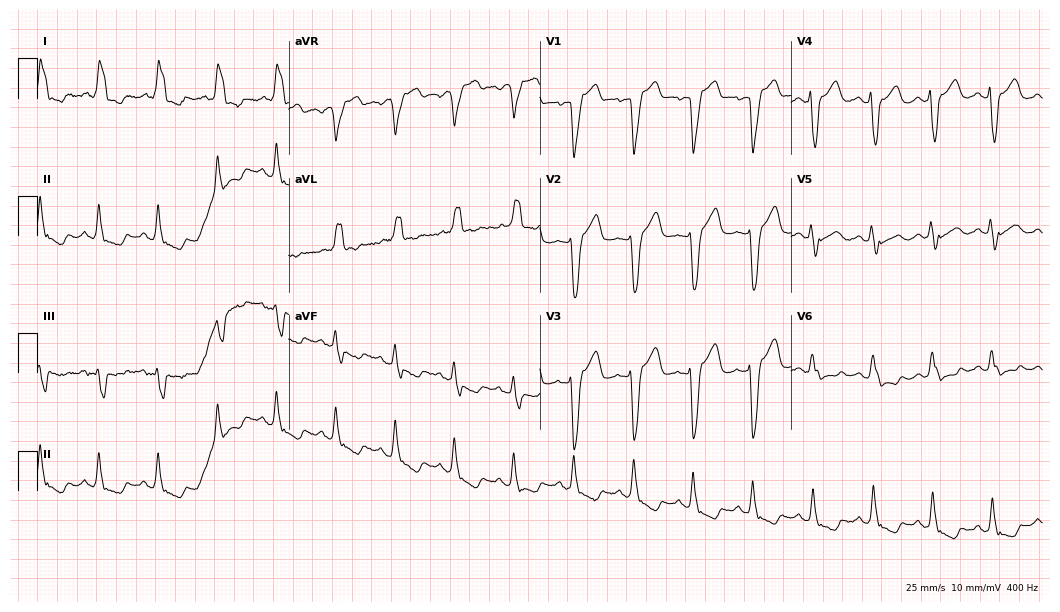
12-lead ECG from a woman, 82 years old (10.2-second recording at 400 Hz). Shows left bundle branch block (LBBB).